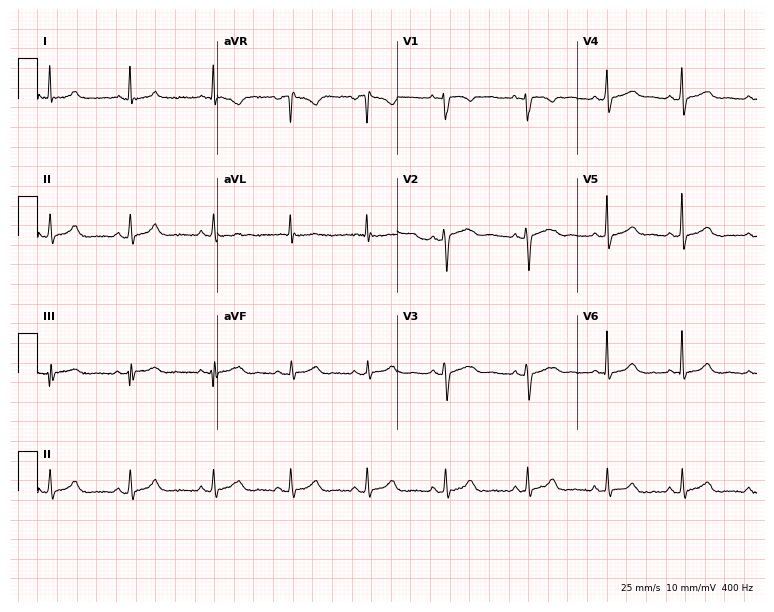
Resting 12-lead electrocardiogram. Patient: a male, 35 years old. Read as a normal ECG.